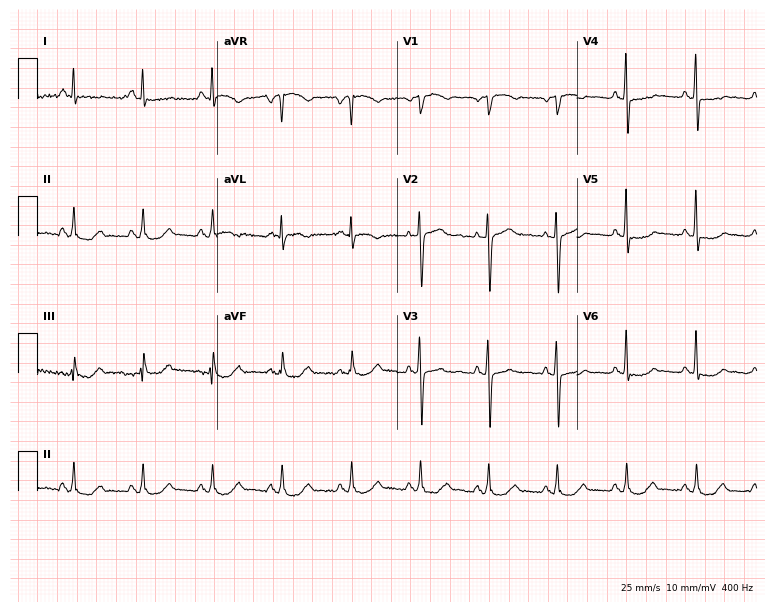
ECG — a man, 76 years old. Screened for six findings — first-degree AV block, right bundle branch block (RBBB), left bundle branch block (LBBB), sinus bradycardia, atrial fibrillation (AF), sinus tachycardia — none is recorded.